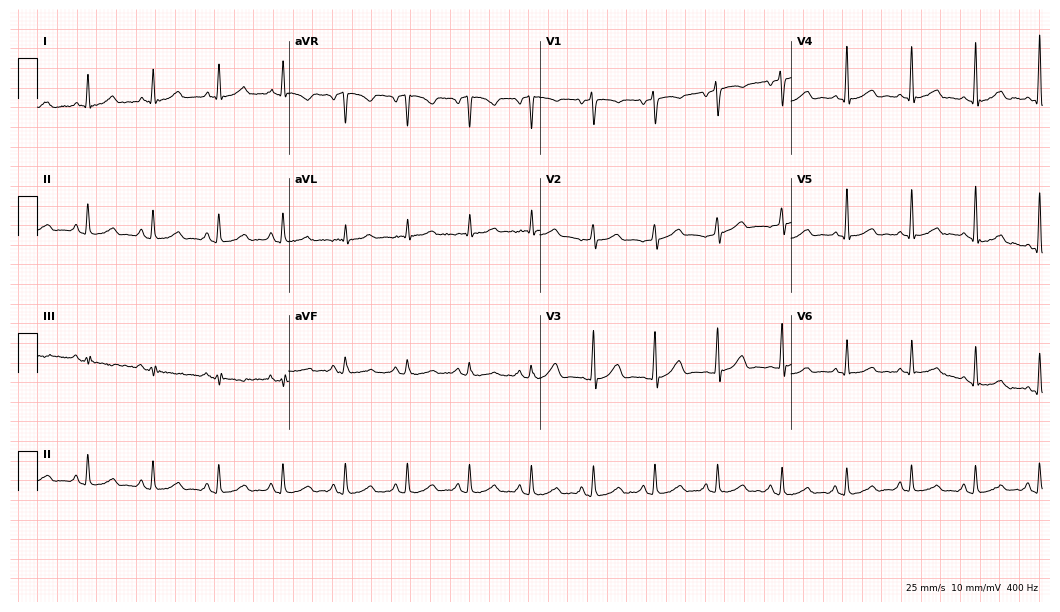
Standard 12-lead ECG recorded from a woman, 54 years old (10.2-second recording at 400 Hz). Read as a normal ECG.